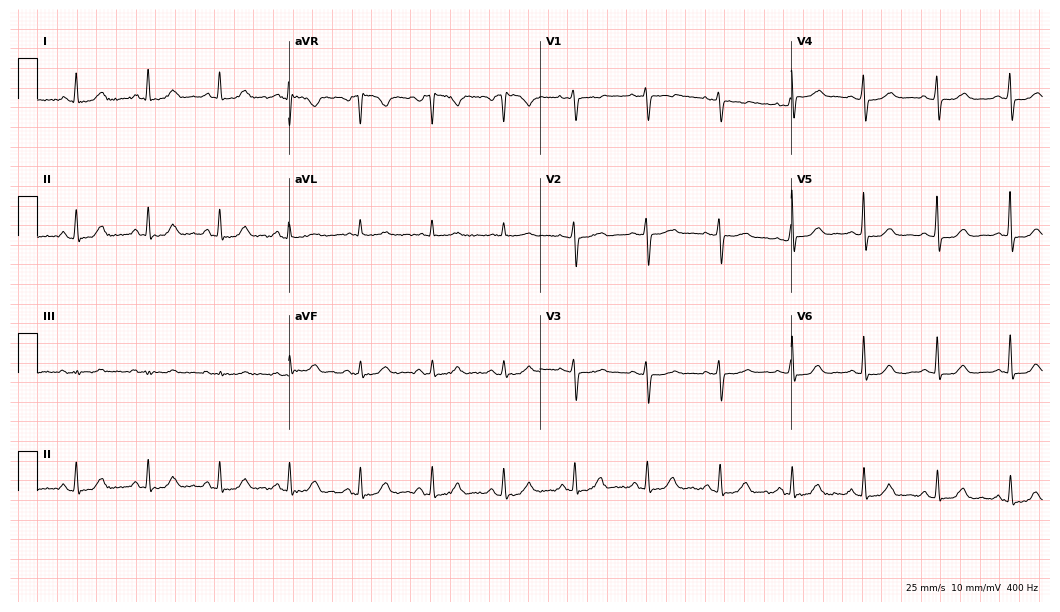
Standard 12-lead ECG recorded from a 45-year-old female. Read as a normal ECG.